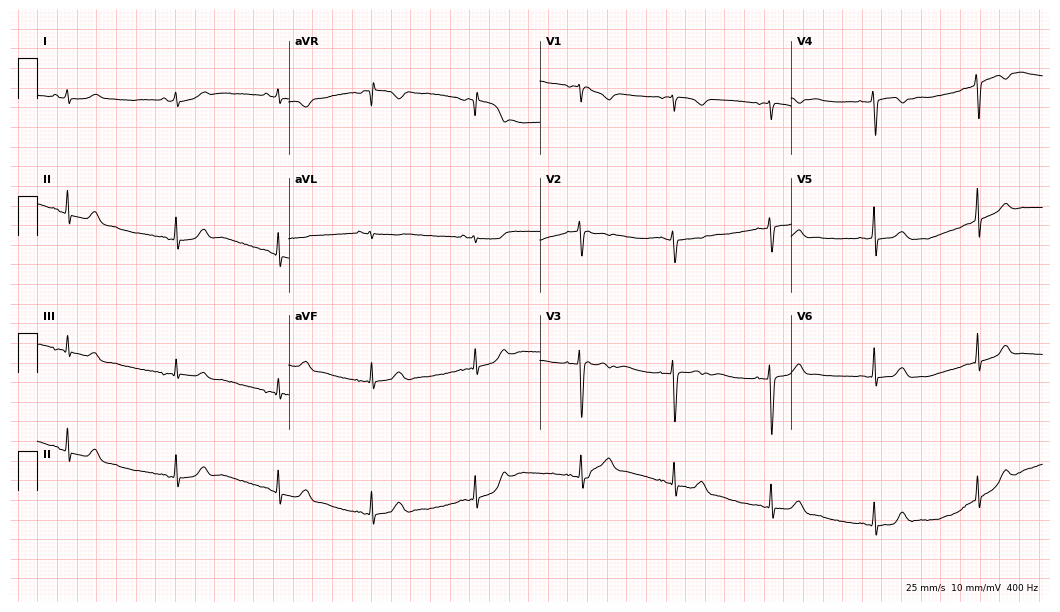
Standard 12-lead ECG recorded from a 17-year-old woman (10.2-second recording at 400 Hz). Read as a normal ECG.